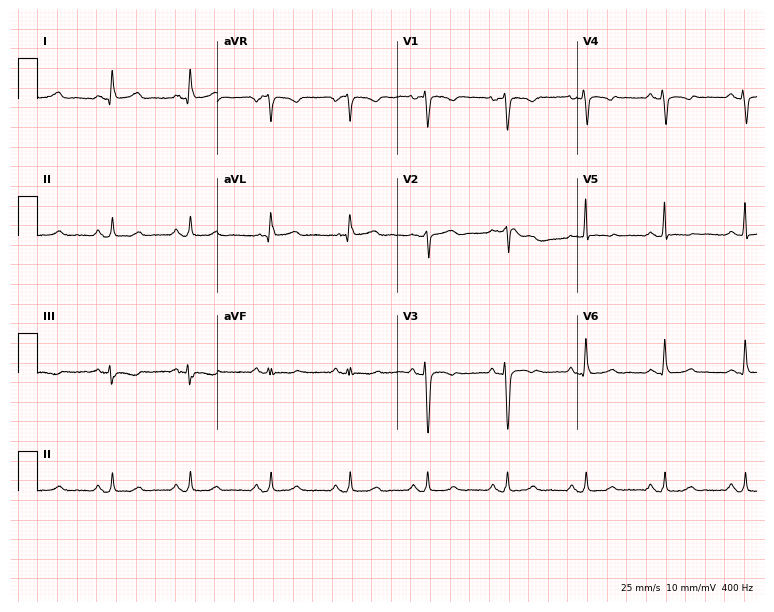
12-lead ECG from a woman, 50 years old. No first-degree AV block, right bundle branch block, left bundle branch block, sinus bradycardia, atrial fibrillation or sinus tachycardia recorded for this tracing.